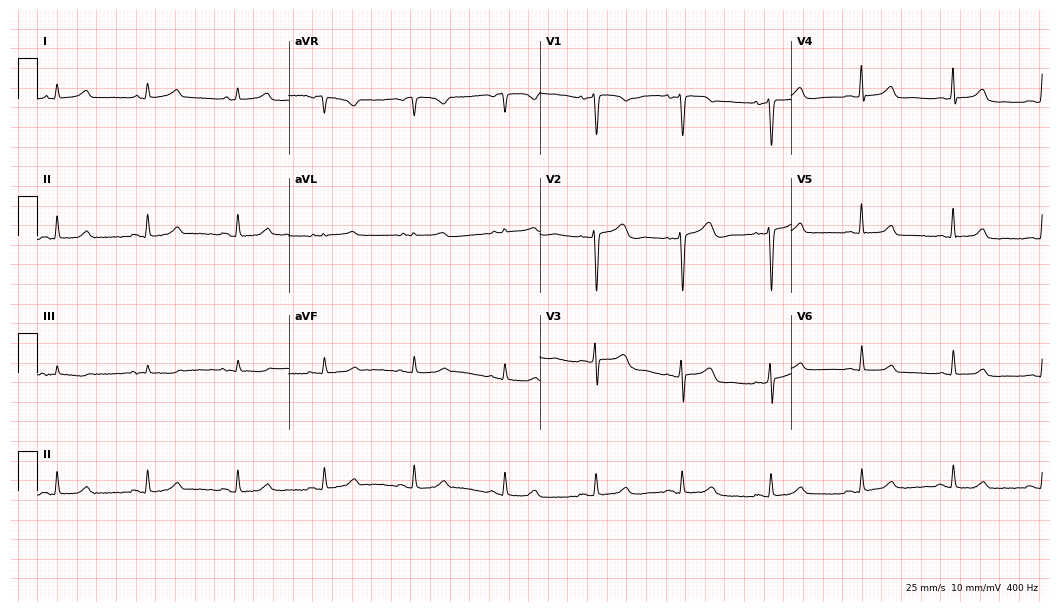
ECG (10.2-second recording at 400 Hz) — a 46-year-old female. Labelled as a normal ECG.